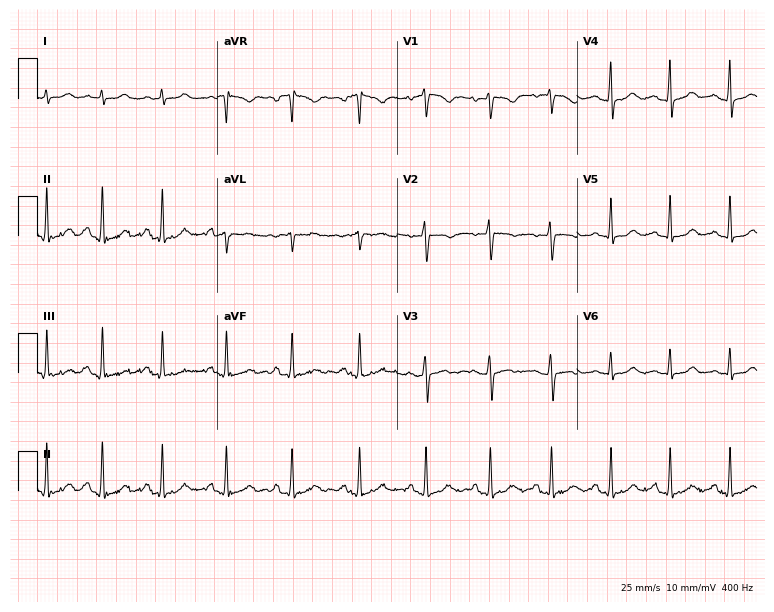
Standard 12-lead ECG recorded from a 29-year-old woman (7.3-second recording at 400 Hz). None of these six findings is recorded: first-degree AV block, right bundle branch block (RBBB), left bundle branch block (LBBB), sinus bradycardia, atrial fibrillation (AF), sinus tachycardia.